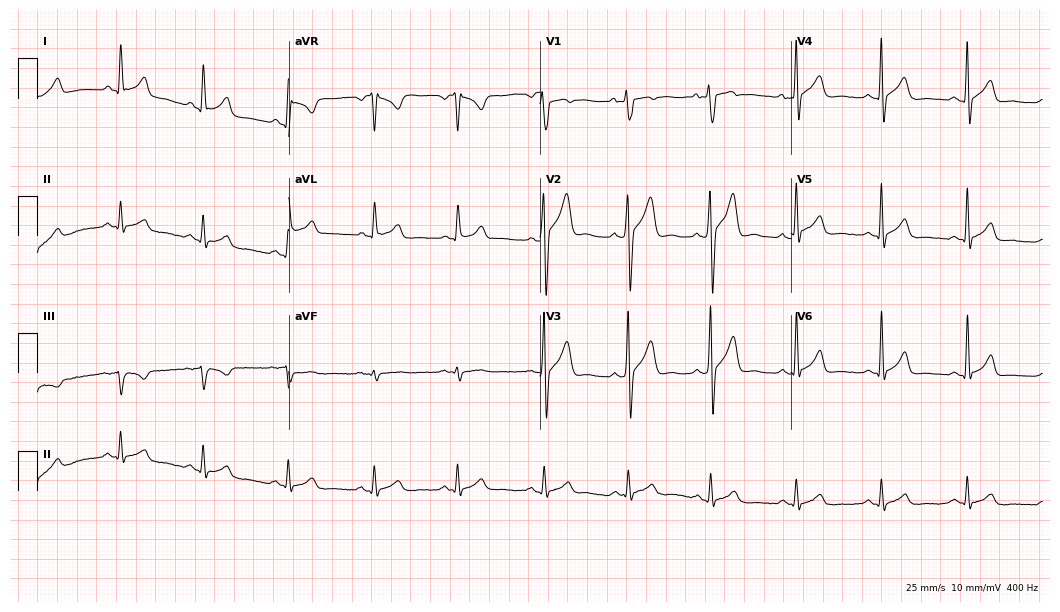
Electrocardiogram (10.2-second recording at 400 Hz), a 38-year-old man. Overall reading on record: normal ECG.